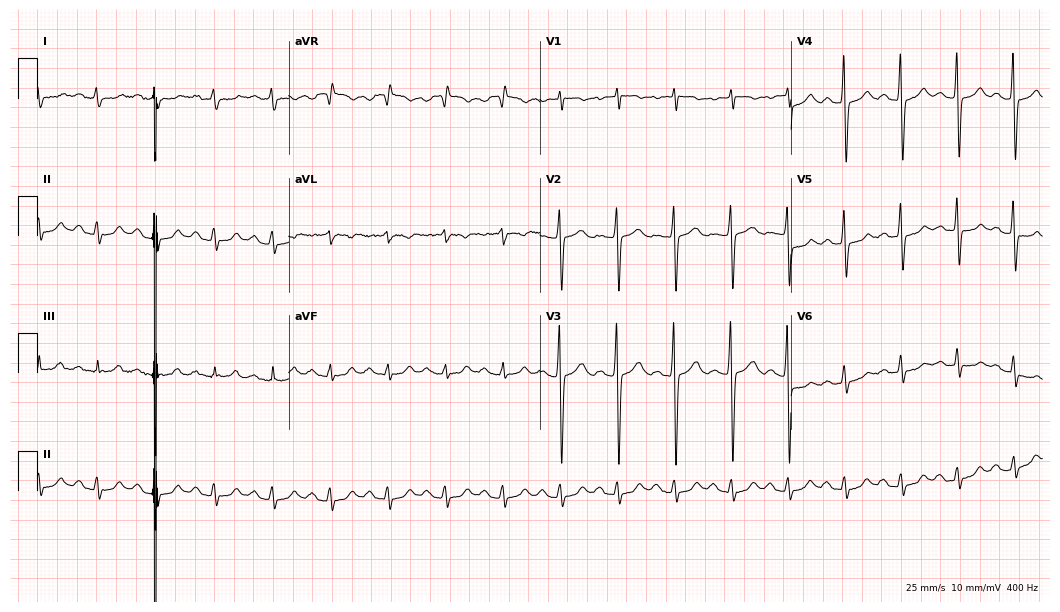
Resting 12-lead electrocardiogram (10.2-second recording at 400 Hz). Patient: a woman, 64 years old. The tracing shows sinus tachycardia (a sinus rate of 100 beats per minute or more).